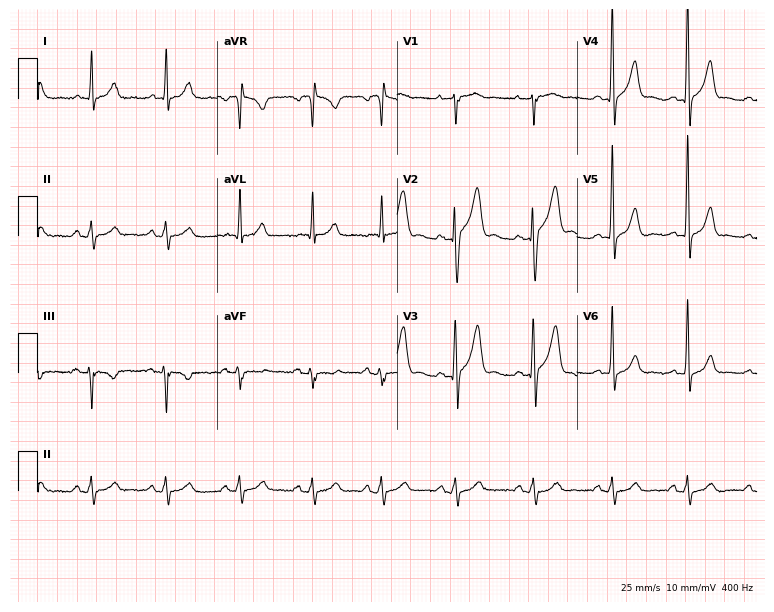
Electrocardiogram, a 41-year-old man. Overall reading on record: normal ECG.